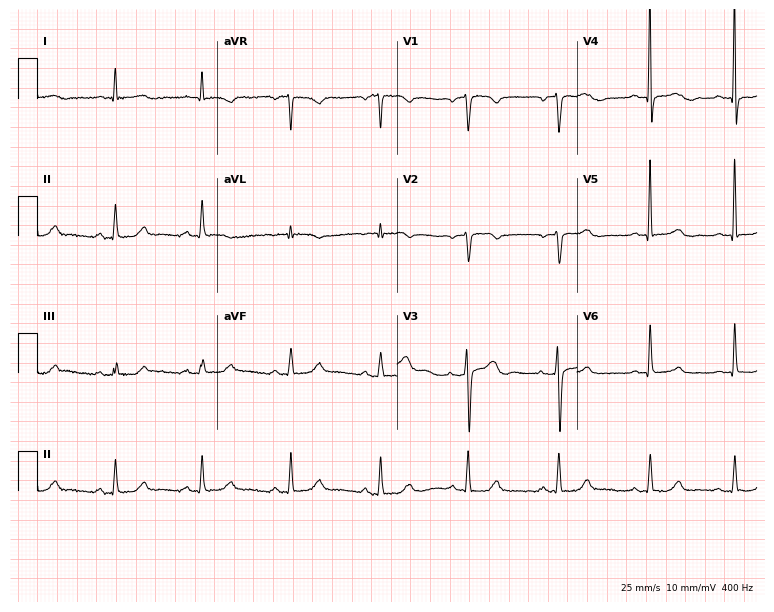
ECG (7.3-second recording at 400 Hz) — a female patient, 71 years old. Screened for six findings — first-degree AV block, right bundle branch block, left bundle branch block, sinus bradycardia, atrial fibrillation, sinus tachycardia — none is recorded.